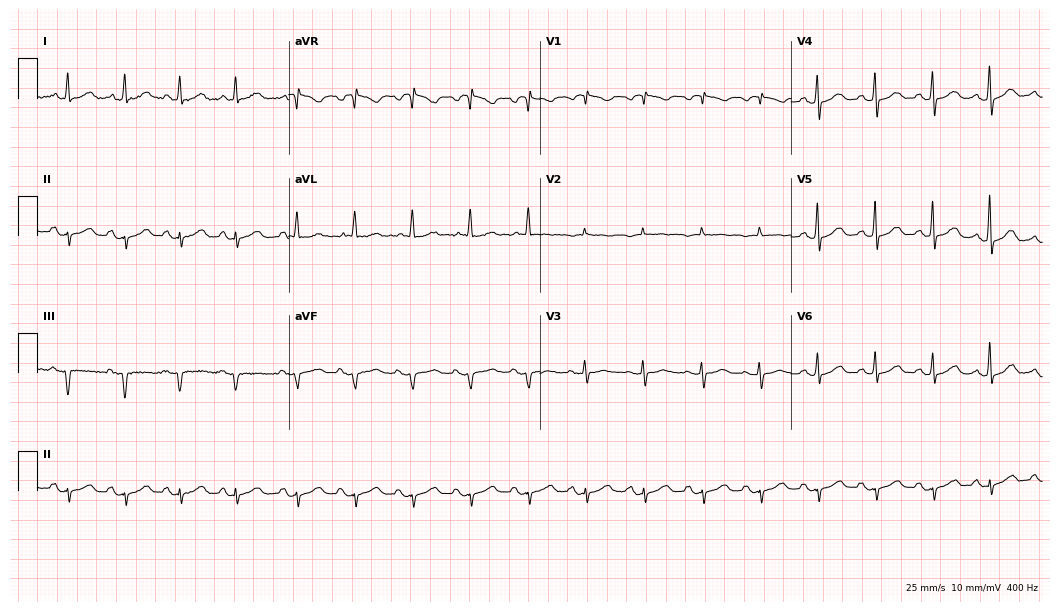
ECG — a woman, 75 years old. Findings include sinus tachycardia (a sinus rate of 100 beats per minute or more).